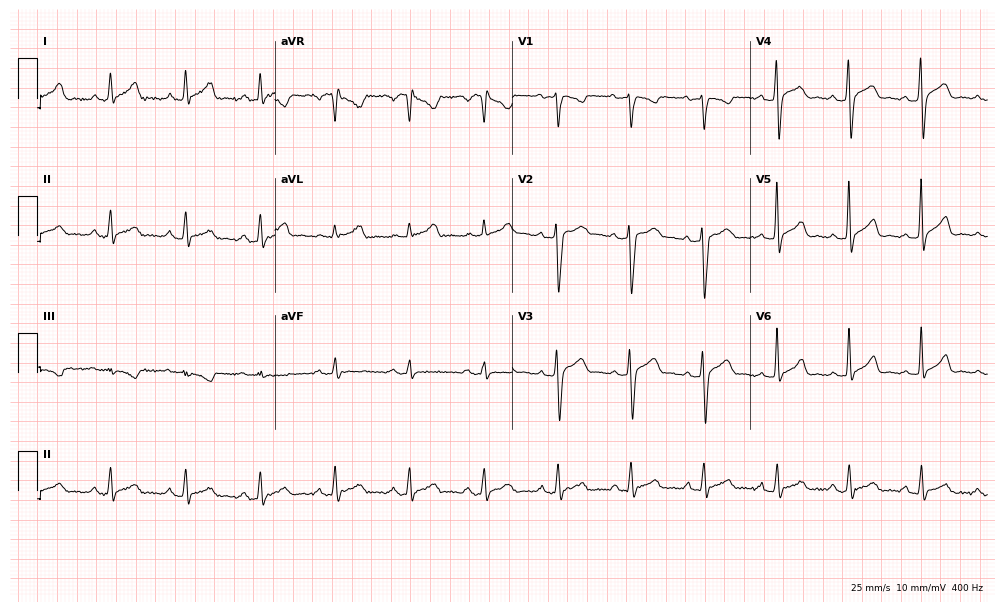
Resting 12-lead electrocardiogram (9.7-second recording at 400 Hz). Patient: a 41-year-old male. Read as a normal ECG.